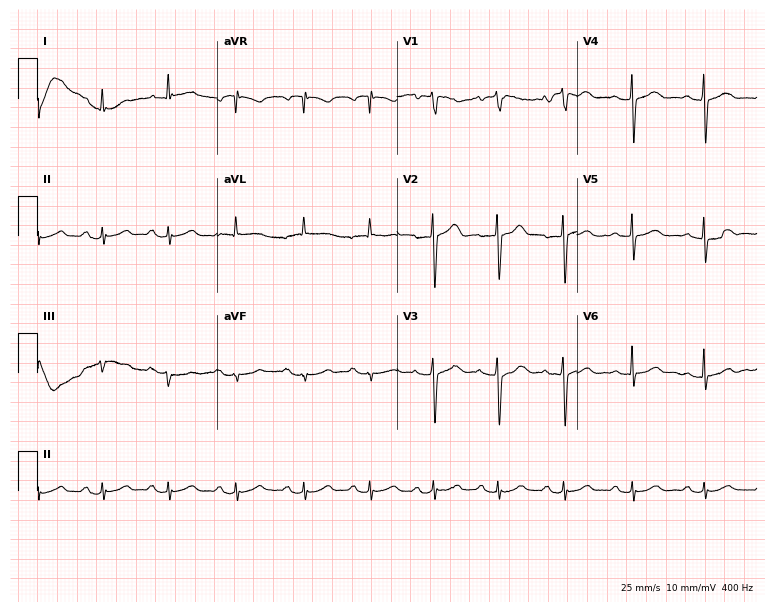
ECG (7.3-second recording at 400 Hz) — a 63-year-old man. Screened for six findings — first-degree AV block, right bundle branch block, left bundle branch block, sinus bradycardia, atrial fibrillation, sinus tachycardia — none is recorded. Other findings, if any, are not listed.